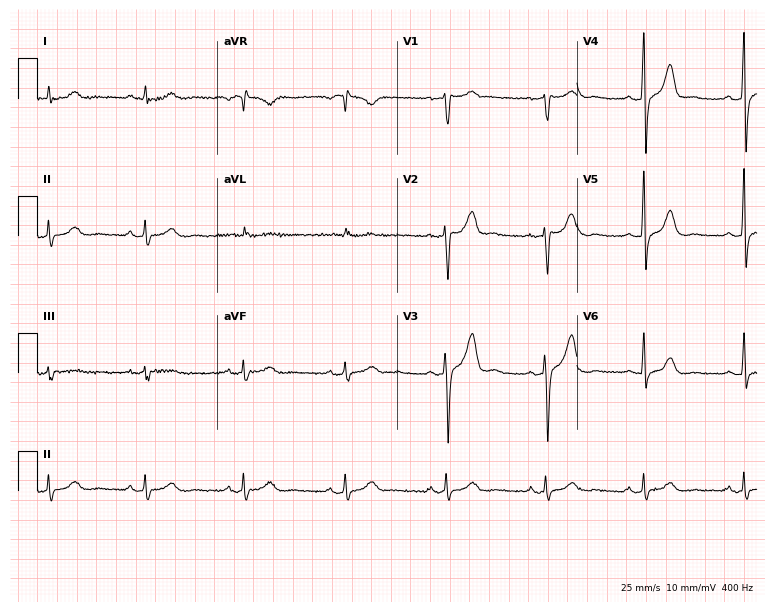
12-lead ECG from a male patient, 58 years old. No first-degree AV block, right bundle branch block, left bundle branch block, sinus bradycardia, atrial fibrillation or sinus tachycardia recorded for this tracing.